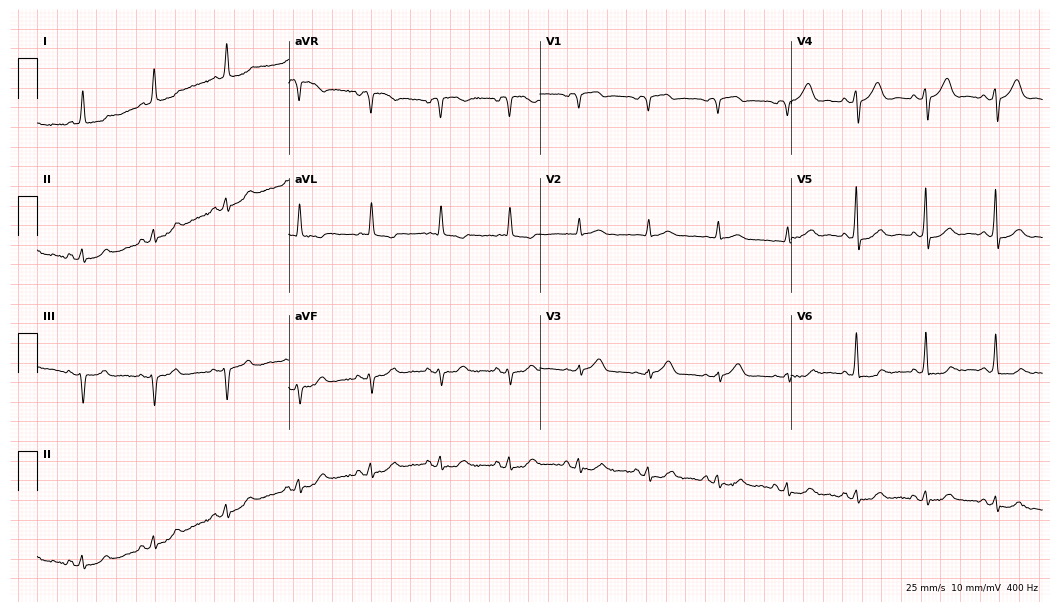
Standard 12-lead ECG recorded from a male, 79 years old (10.2-second recording at 400 Hz). None of these six findings is recorded: first-degree AV block, right bundle branch block (RBBB), left bundle branch block (LBBB), sinus bradycardia, atrial fibrillation (AF), sinus tachycardia.